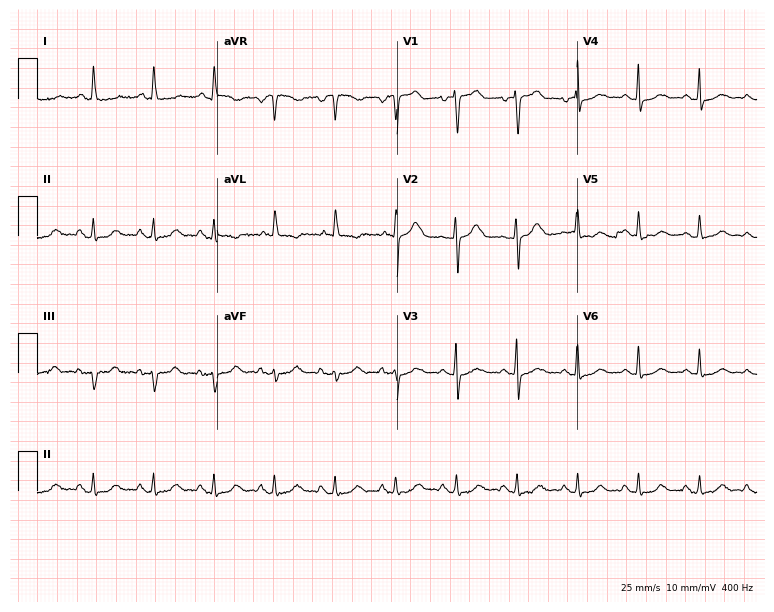
Electrocardiogram, a female, 82 years old. Overall reading on record: normal ECG.